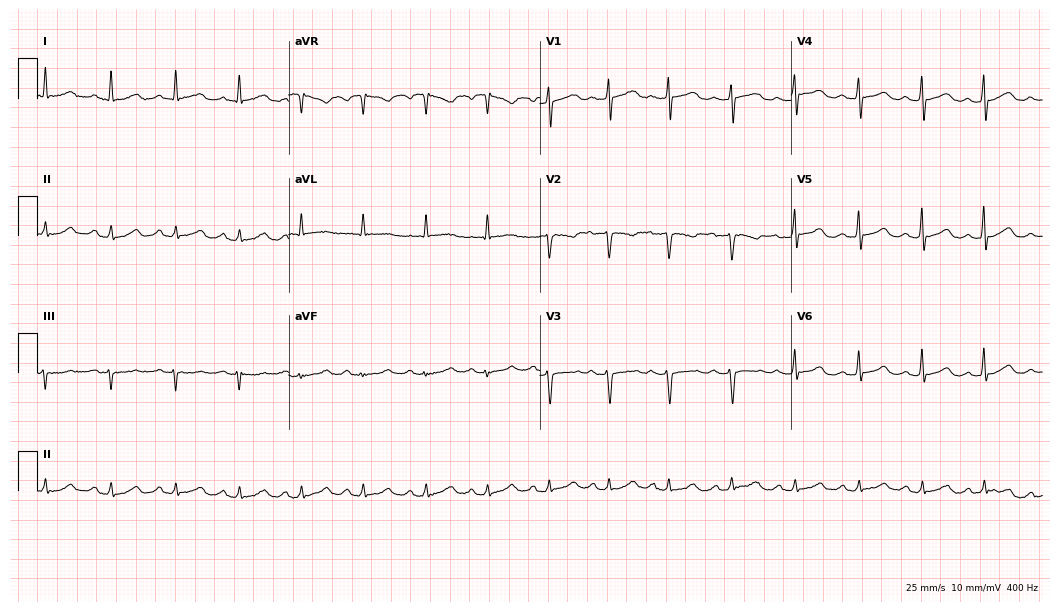
ECG — a woman, 51 years old. Labelled as a normal ECG.